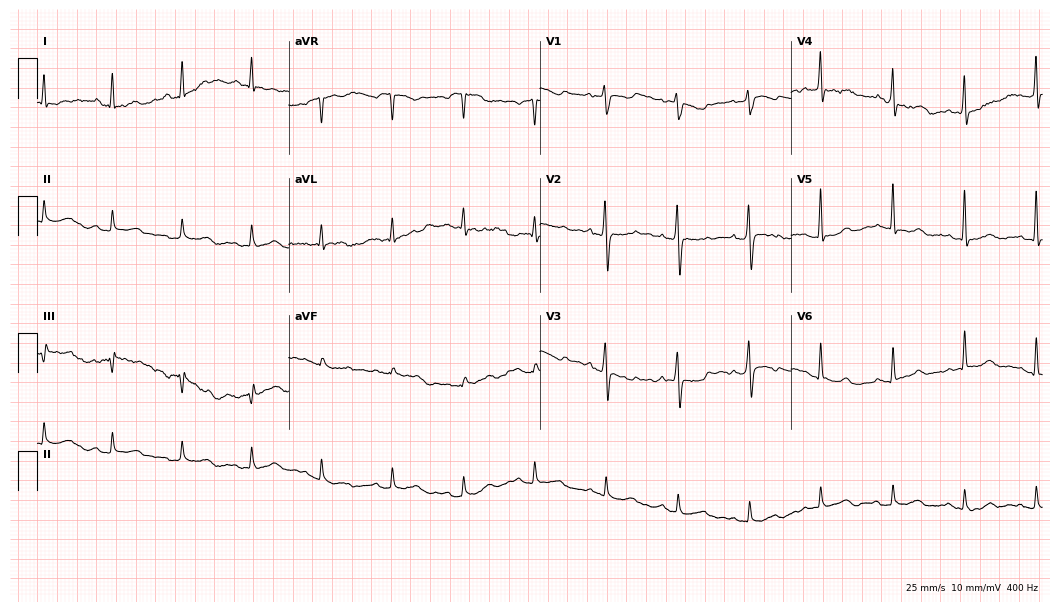
ECG (10.2-second recording at 400 Hz) — a 54-year-old female. Screened for six findings — first-degree AV block, right bundle branch block, left bundle branch block, sinus bradycardia, atrial fibrillation, sinus tachycardia — none is recorded. Only these six findings were labelled.